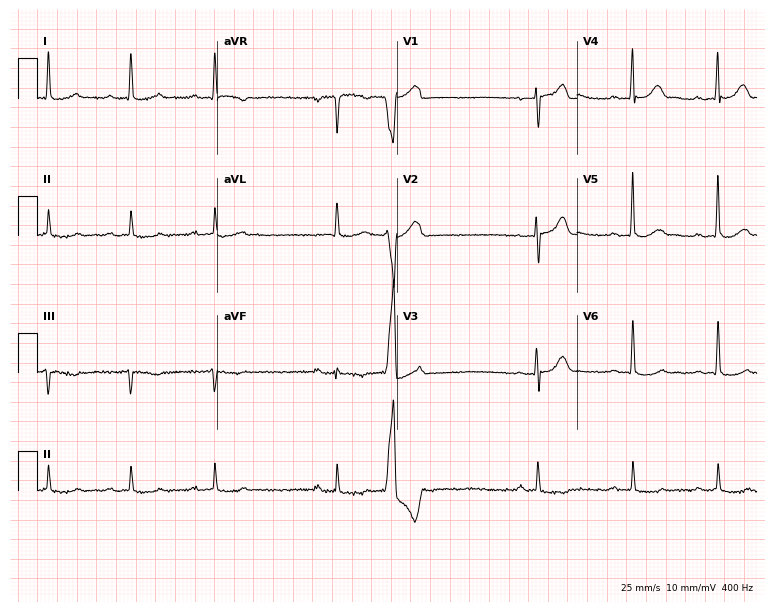
Electrocardiogram, a 70-year-old woman. Of the six screened findings (first-degree AV block, right bundle branch block, left bundle branch block, sinus bradycardia, atrial fibrillation, sinus tachycardia), none is recorded. Other findings, if any, are not listed.